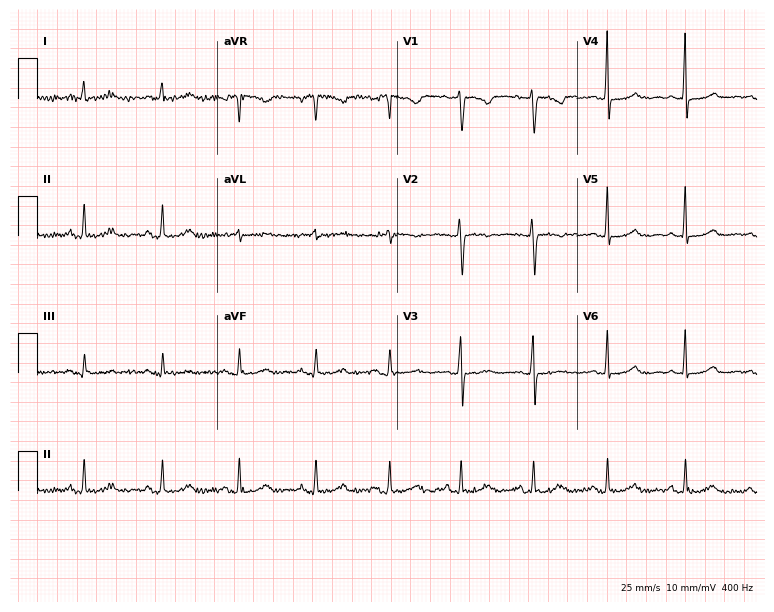
12-lead ECG from a 50-year-old female. Screened for six findings — first-degree AV block, right bundle branch block, left bundle branch block, sinus bradycardia, atrial fibrillation, sinus tachycardia — none is recorded.